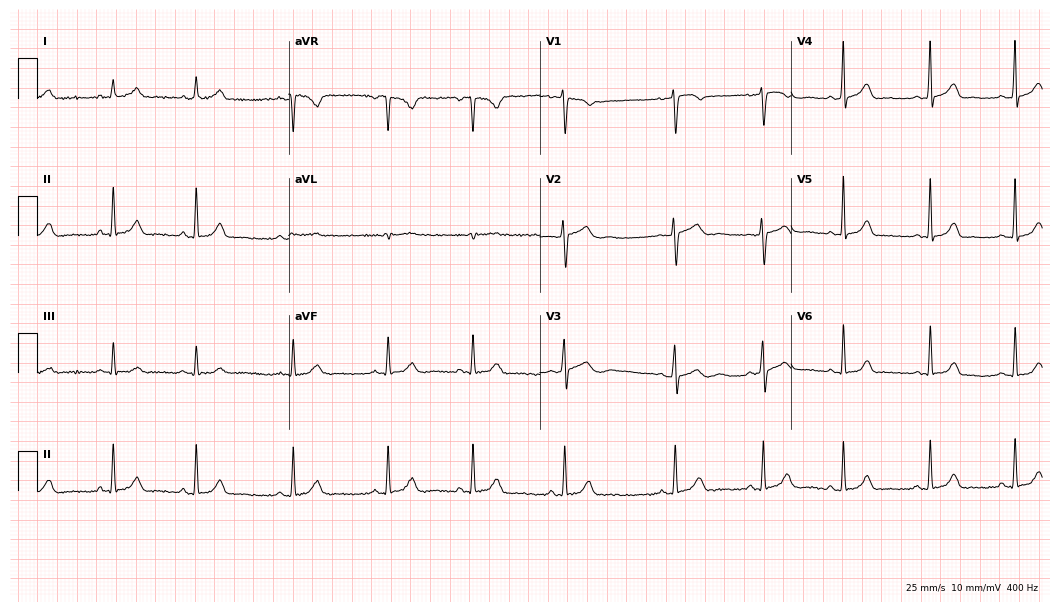
Resting 12-lead electrocardiogram. Patient: a 27-year-old woman. Read as a normal ECG.